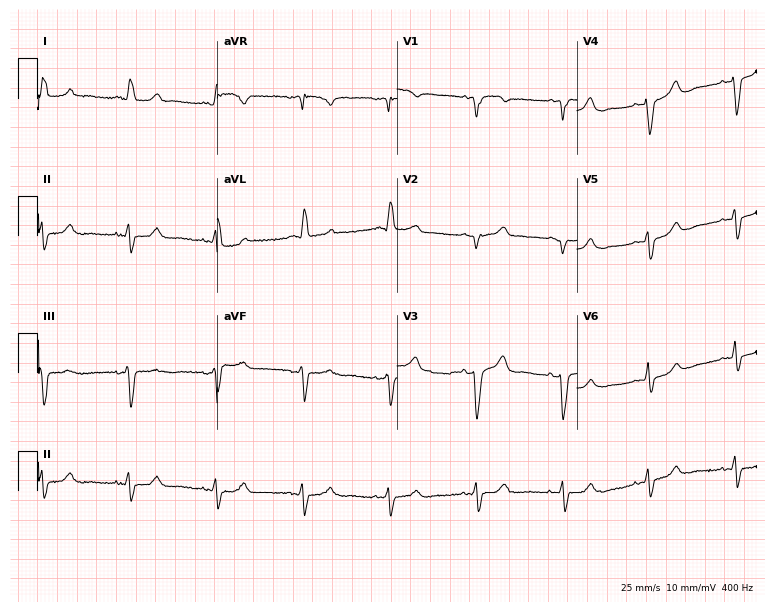
ECG — a woman, 85 years old. Screened for six findings — first-degree AV block, right bundle branch block (RBBB), left bundle branch block (LBBB), sinus bradycardia, atrial fibrillation (AF), sinus tachycardia — none is recorded. Only these six findings were labelled.